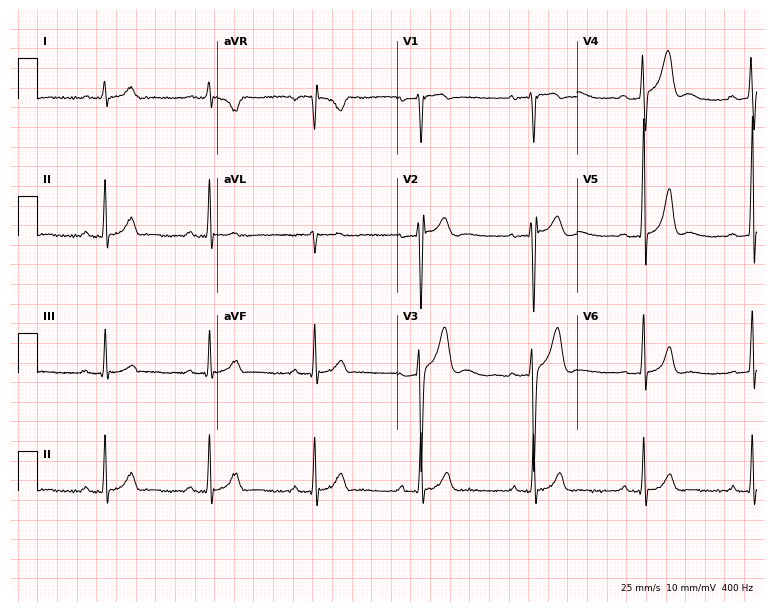
12-lead ECG from a male patient, 32 years old. Recorded interpretation: within normal limits.